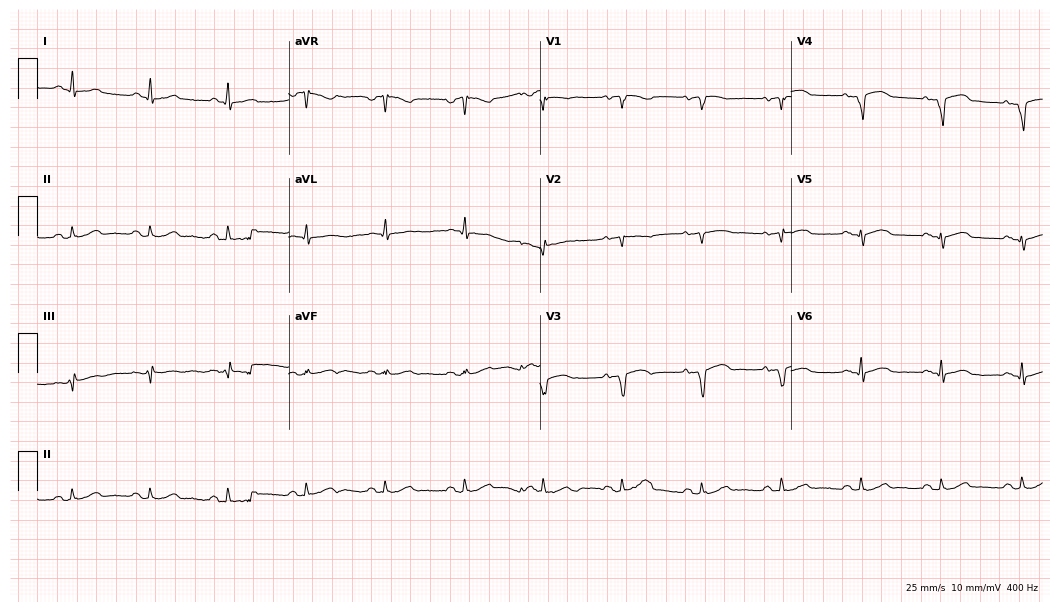
12-lead ECG from a man, 59 years old. Labelled as a normal ECG.